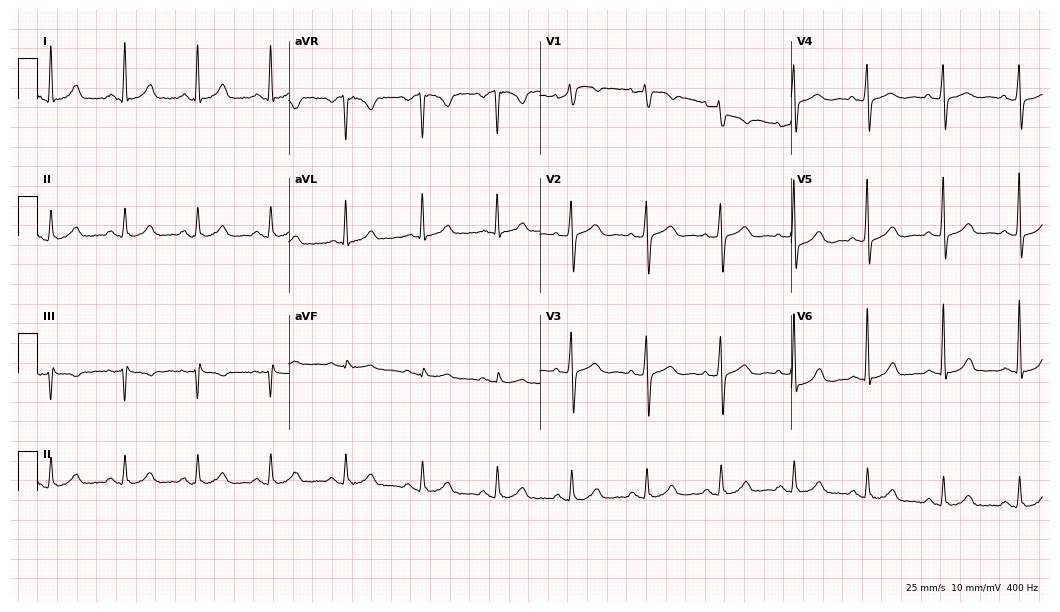
Standard 12-lead ECG recorded from a female, 60 years old (10.2-second recording at 400 Hz). Read as a normal ECG.